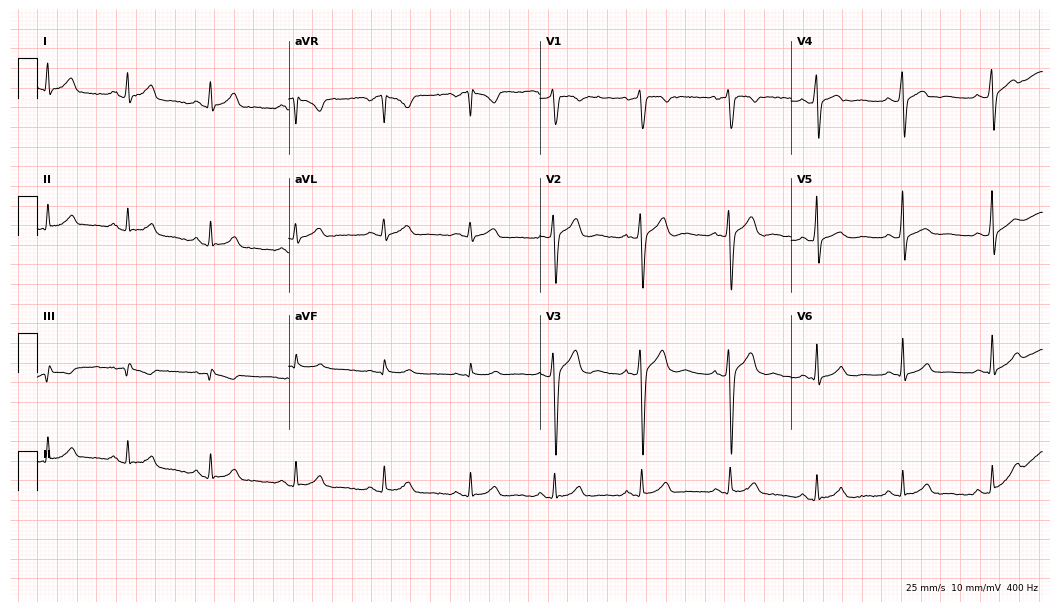
Resting 12-lead electrocardiogram. Patient: a 25-year-old male. Read as a normal ECG.